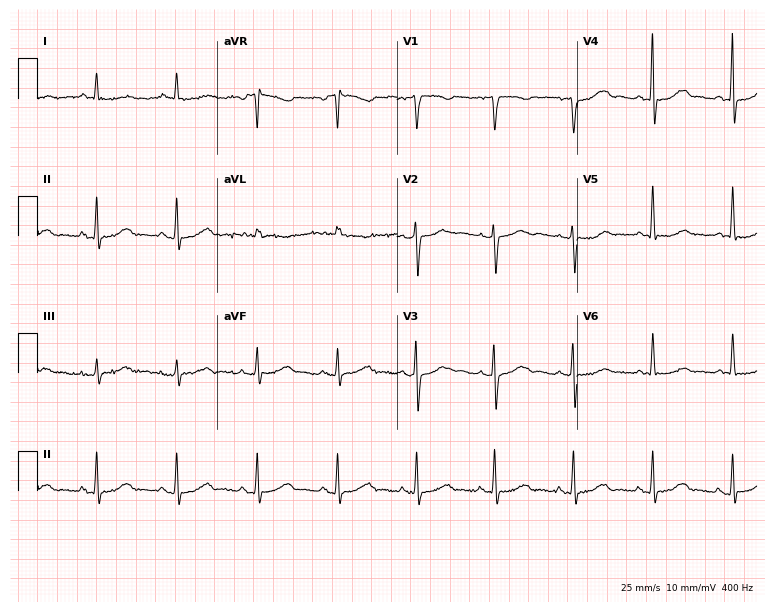
Standard 12-lead ECG recorded from a female, 59 years old. Read as a normal ECG.